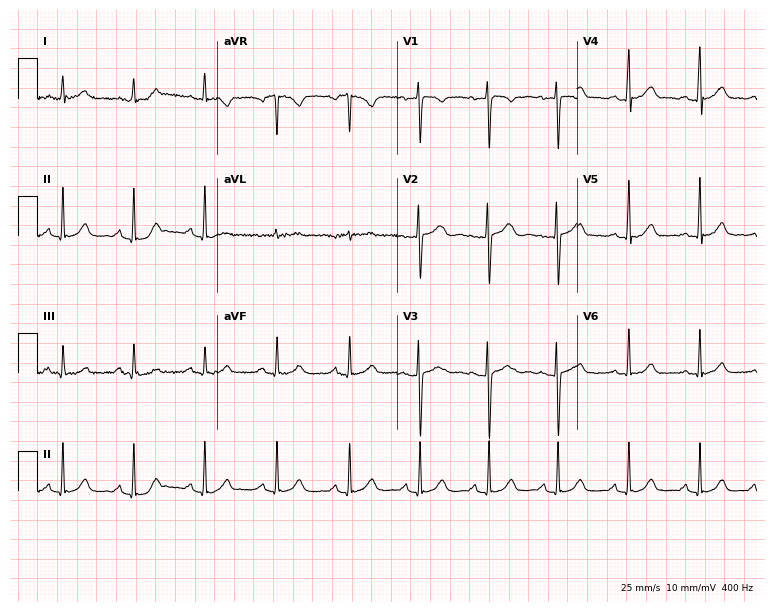
Standard 12-lead ECG recorded from a woman, 28 years old. Read as a normal ECG.